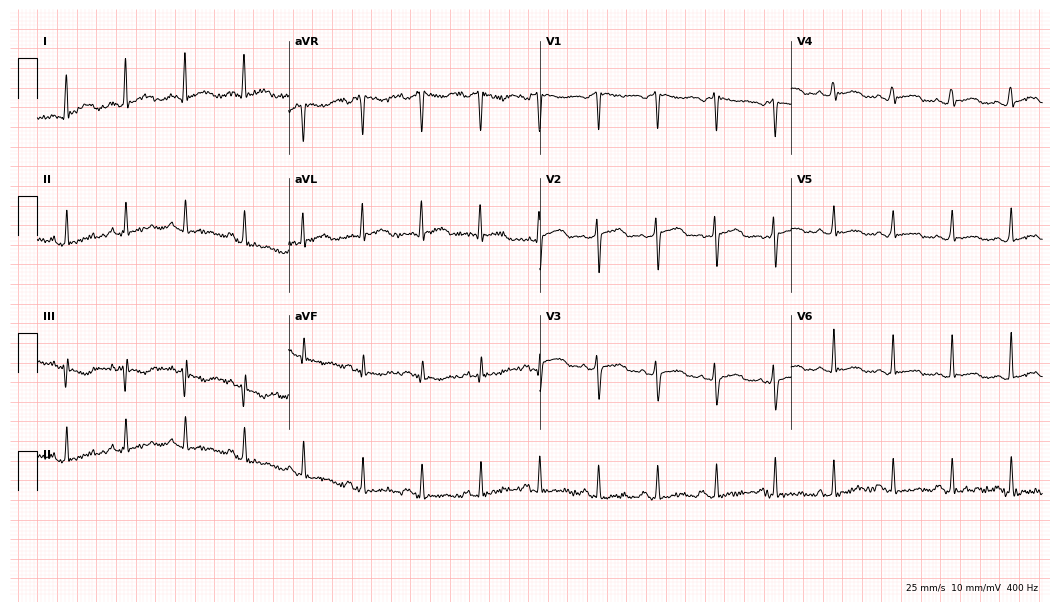
Resting 12-lead electrocardiogram. Patient: a woman, 37 years old. None of these six findings is recorded: first-degree AV block, right bundle branch block (RBBB), left bundle branch block (LBBB), sinus bradycardia, atrial fibrillation (AF), sinus tachycardia.